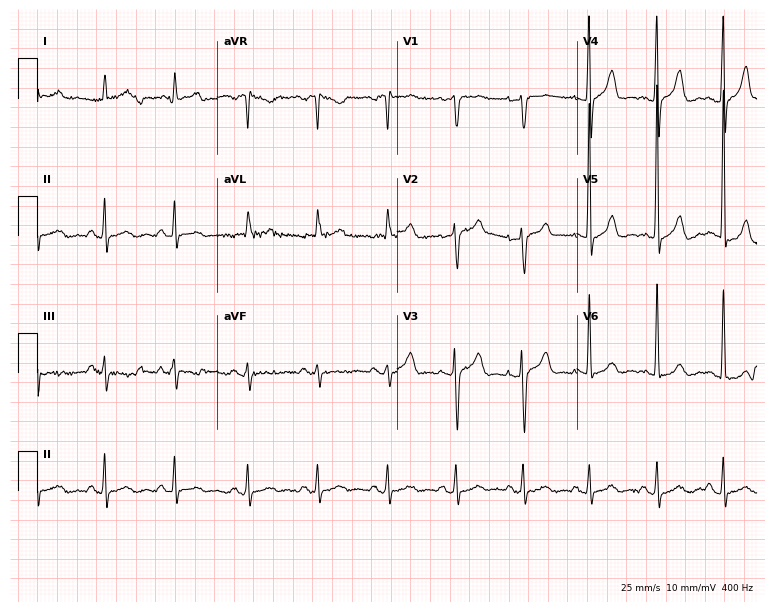
Electrocardiogram (7.3-second recording at 400 Hz), a male patient, 73 years old. Of the six screened findings (first-degree AV block, right bundle branch block (RBBB), left bundle branch block (LBBB), sinus bradycardia, atrial fibrillation (AF), sinus tachycardia), none is recorded.